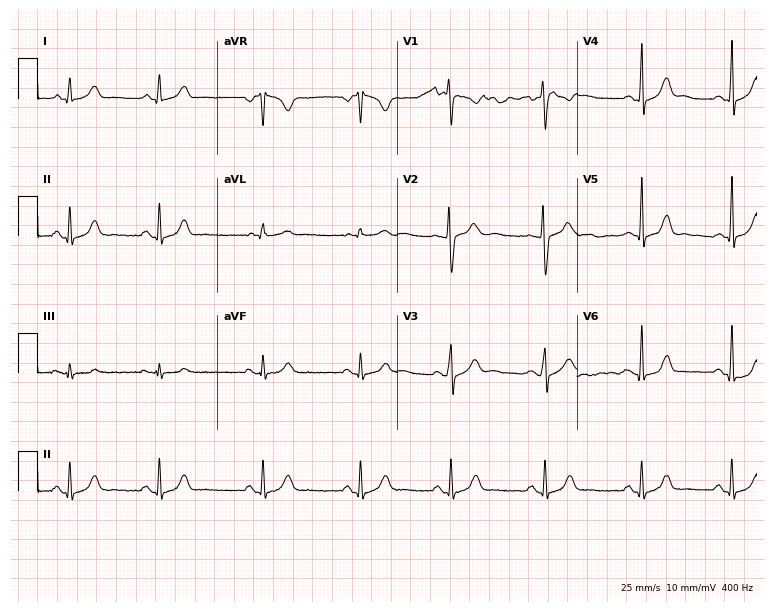
Resting 12-lead electrocardiogram (7.3-second recording at 400 Hz). Patient: a 23-year-old woman. None of these six findings is recorded: first-degree AV block, right bundle branch block, left bundle branch block, sinus bradycardia, atrial fibrillation, sinus tachycardia.